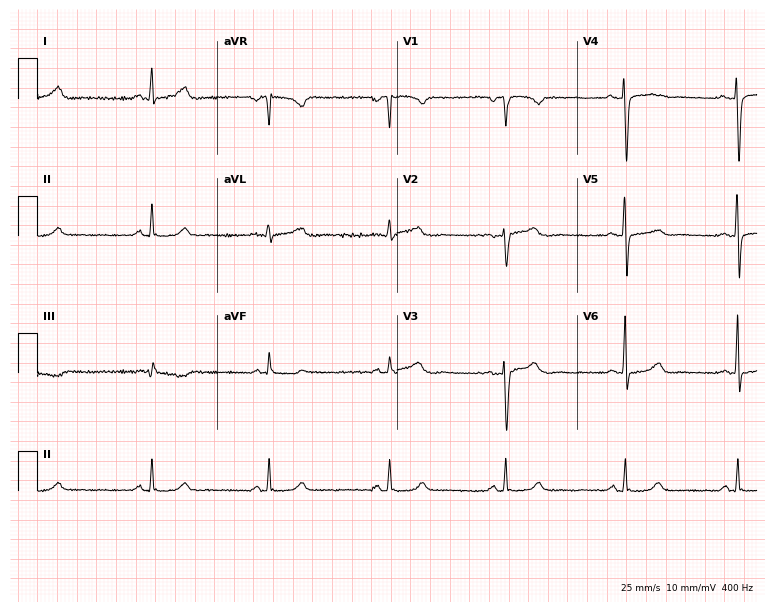
Standard 12-lead ECG recorded from a 37-year-old female. The tracing shows sinus bradycardia (a sinus rate of 50 beats per minute or less).